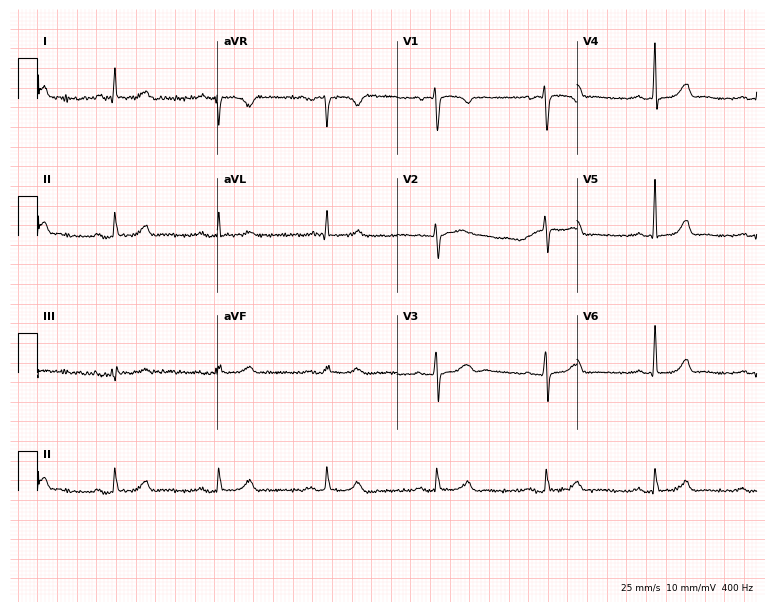
12-lead ECG from a 57-year-old female. Recorded interpretation: within normal limits.